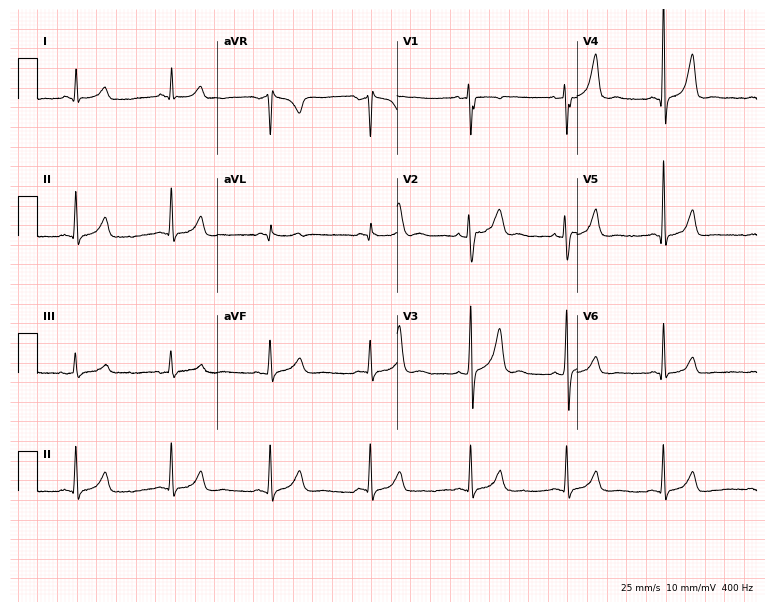
Standard 12-lead ECG recorded from a man, 46 years old (7.3-second recording at 400 Hz). None of these six findings is recorded: first-degree AV block, right bundle branch block, left bundle branch block, sinus bradycardia, atrial fibrillation, sinus tachycardia. Other findings, if any, are not listed.